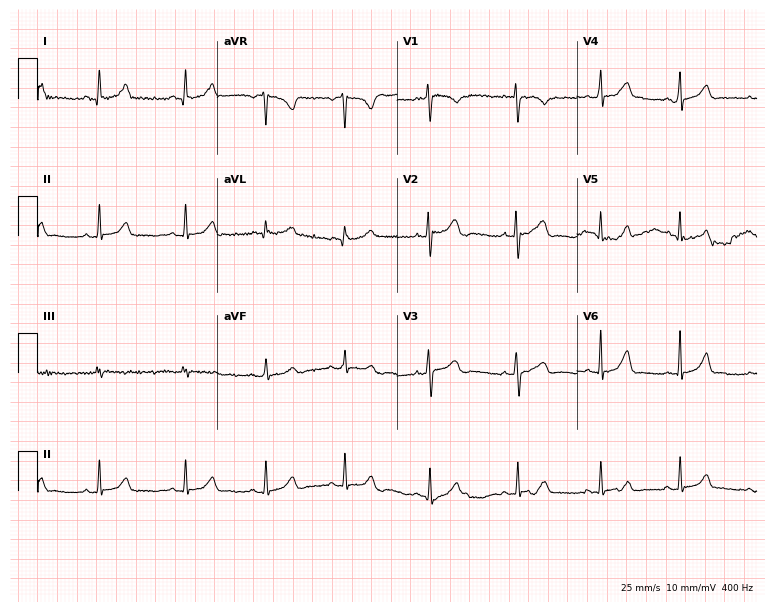
Standard 12-lead ECG recorded from a woman, 19 years old. Read as a normal ECG.